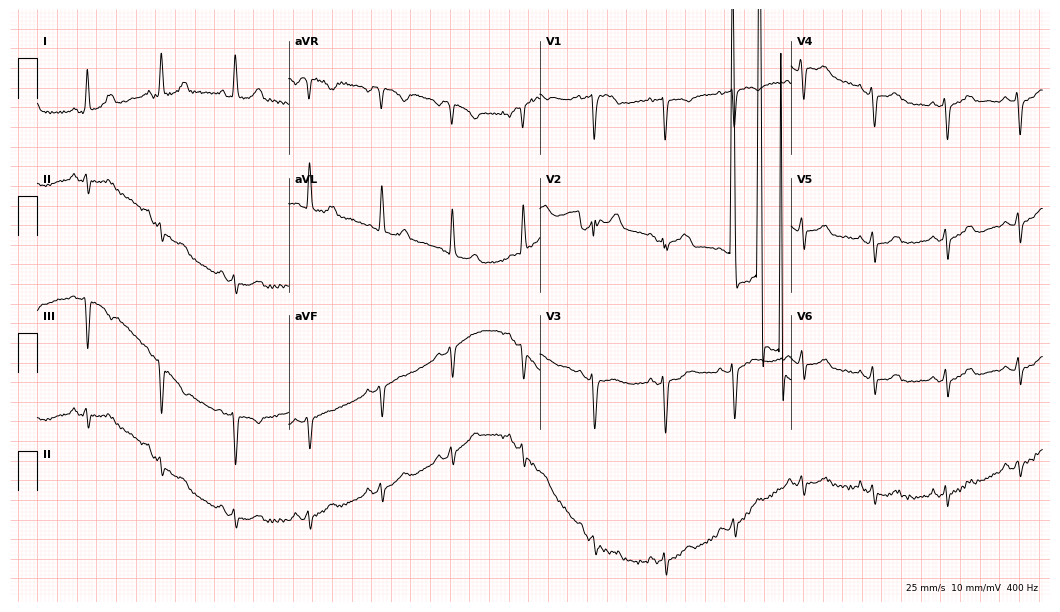
Standard 12-lead ECG recorded from a female, 74 years old (10.2-second recording at 400 Hz). None of these six findings is recorded: first-degree AV block, right bundle branch block (RBBB), left bundle branch block (LBBB), sinus bradycardia, atrial fibrillation (AF), sinus tachycardia. Findings outside these six are not listed.